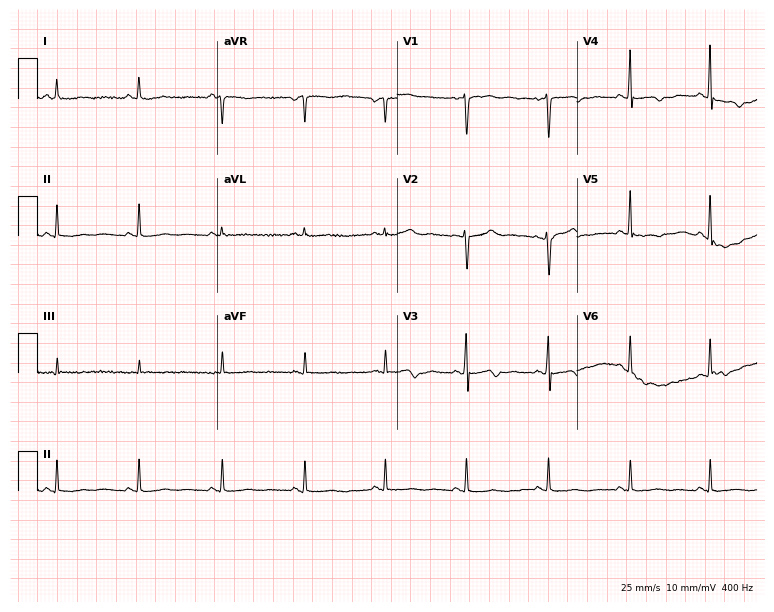
12-lead ECG from a 44-year-old female. No first-degree AV block, right bundle branch block, left bundle branch block, sinus bradycardia, atrial fibrillation or sinus tachycardia recorded for this tracing.